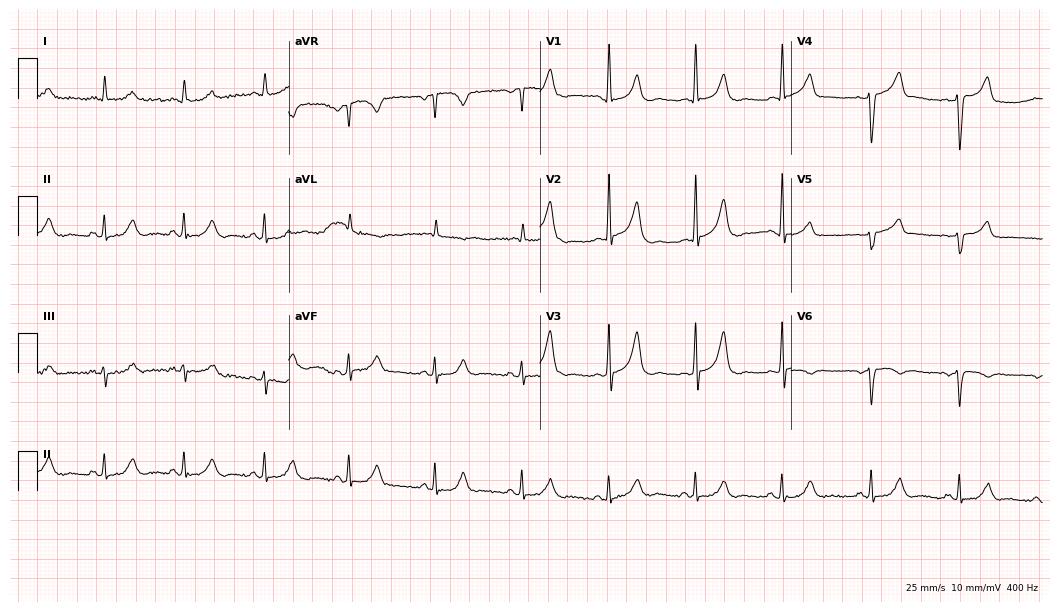
12-lead ECG (10.2-second recording at 400 Hz) from a 39-year-old female patient. Screened for six findings — first-degree AV block, right bundle branch block, left bundle branch block, sinus bradycardia, atrial fibrillation, sinus tachycardia — none is recorded. Other findings, if any, are not listed.